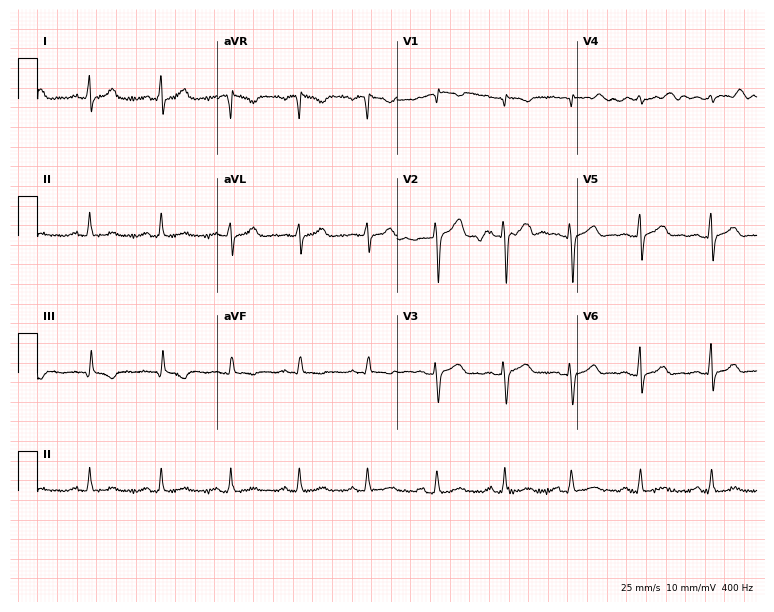
Resting 12-lead electrocardiogram (7.3-second recording at 400 Hz). Patient: a man, 26 years old. None of these six findings is recorded: first-degree AV block, right bundle branch block, left bundle branch block, sinus bradycardia, atrial fibrillation, sinus tachycardia.